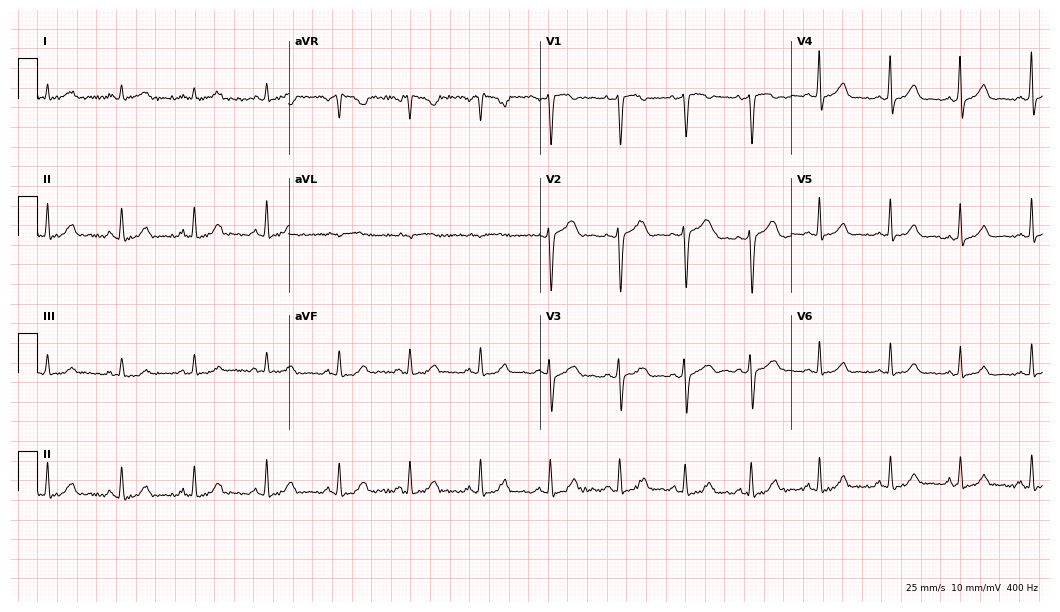
ECG (10.2-second recording at 400 Hz) — a female, 52 years old. Labelled as a normal ECG.